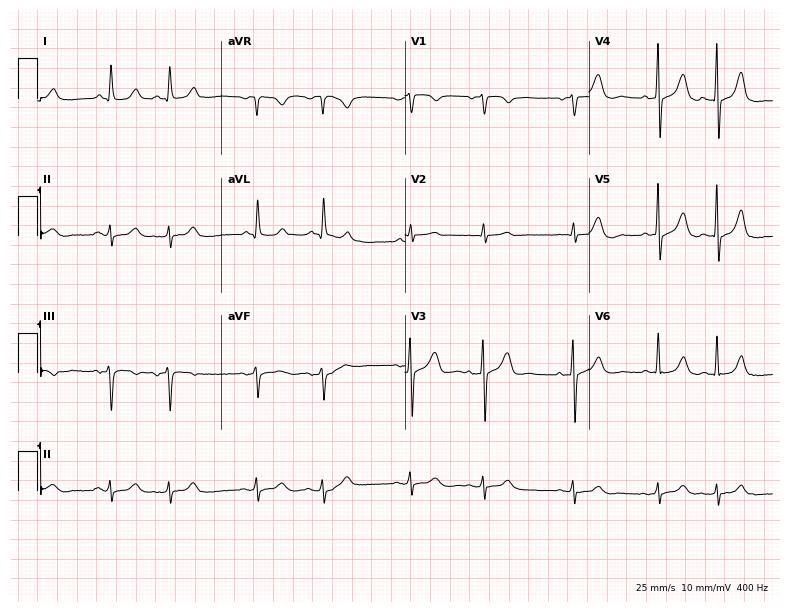
12-lead ECG from an 80-year-old female patient (7.5-second recording at 400 Hz). Recorded interpretation: within normal limits.